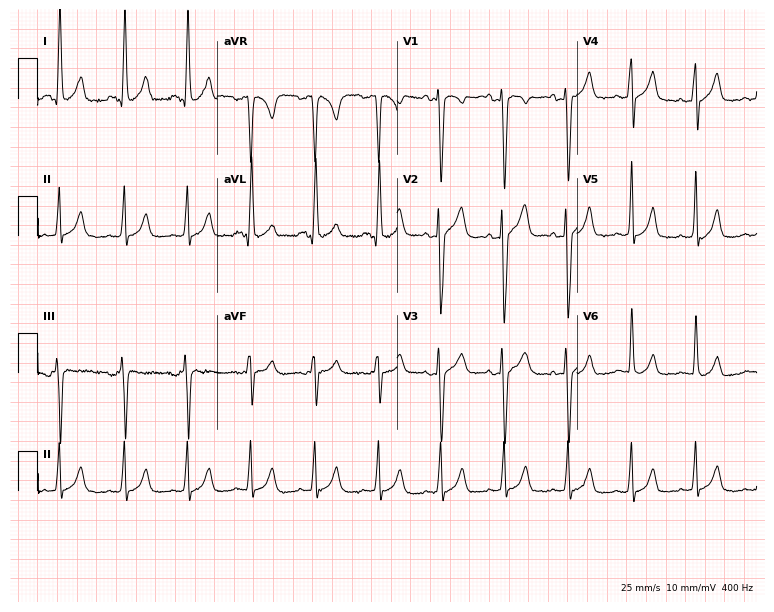
12-lead ECG from a female, 19 years old (7.3-second recording at 400 Hz). No first-degree AV block, right bundle branch block, left bundle branch block, sinus bradycardia, atrial fibrillation or sinus tachycardia recorded for this tracing. Other findings, if any, are not listed.